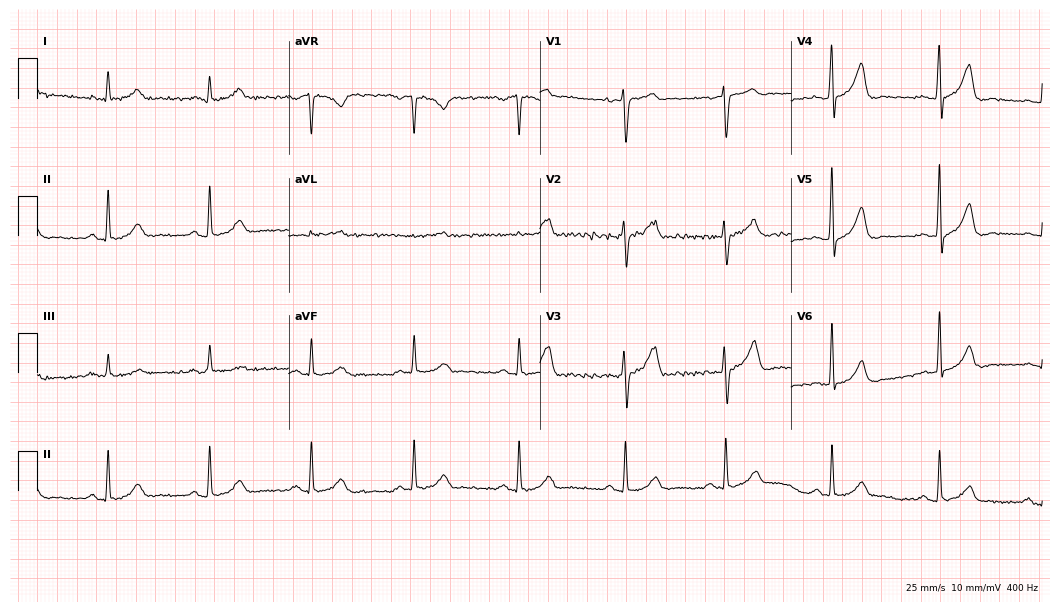
12-lead ECG from a 57-year-old man (10.2-second recording at 400 Hz). Recorded interpretation: within normal limits.